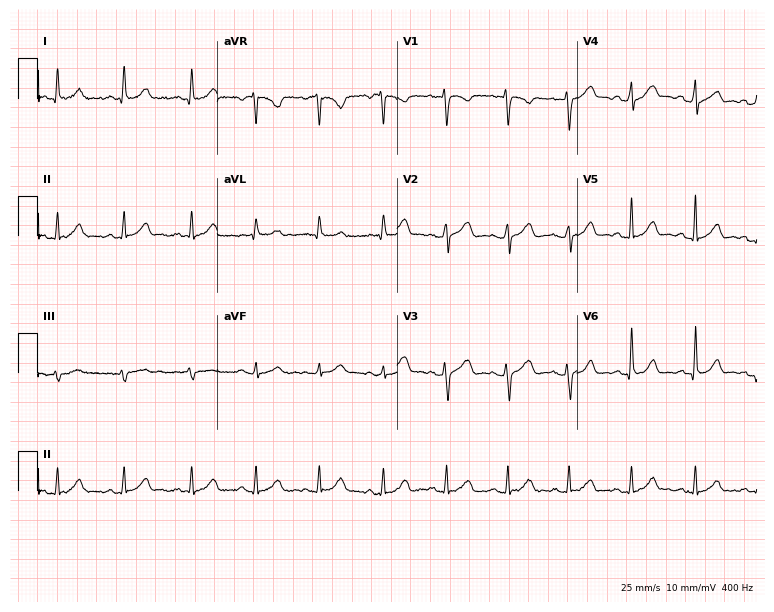
Standard 12-lead ECG recorded from a 21-year-old female patient. Read as a normal ECG.